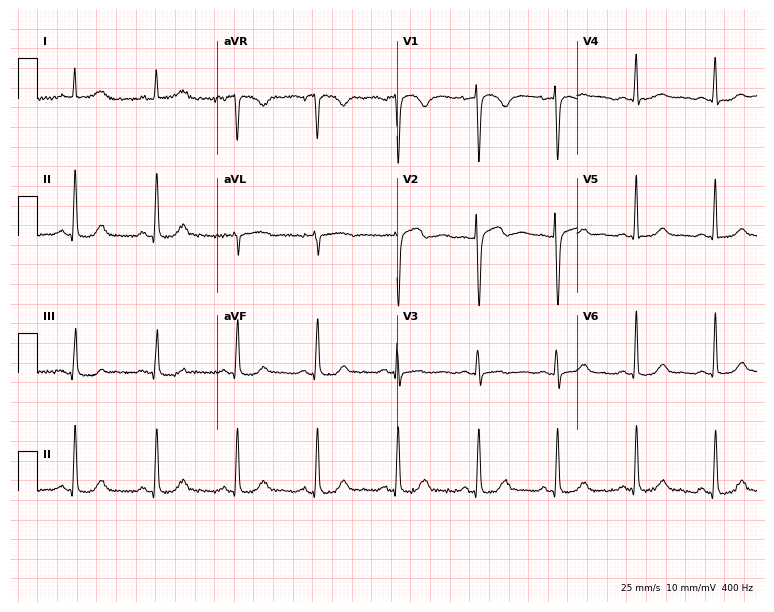
Electrocardiogram (7.3-second recording at 400 Hz), a female patient, 47 years old. Of the six screened findings (first-degree AV block, right bundle branch block, left bundle branch block, sinus bradycardia, atrial fibrillation, sinus tachycardia), none is recorded. Only these six findings were labelled.